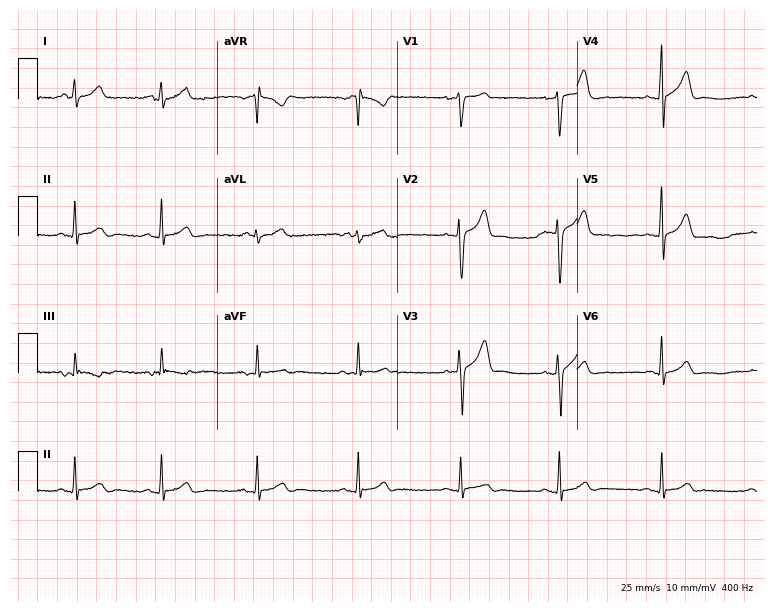
Electrocardiogram, a male, 27 years old. Of the six screened findings (first-degree AV block, right bundle branch block, left bundle branch block, sinus bradycardia, atrial fibrillation, sinus tachycardia), none is recorded. Findings outside these six are not listed.